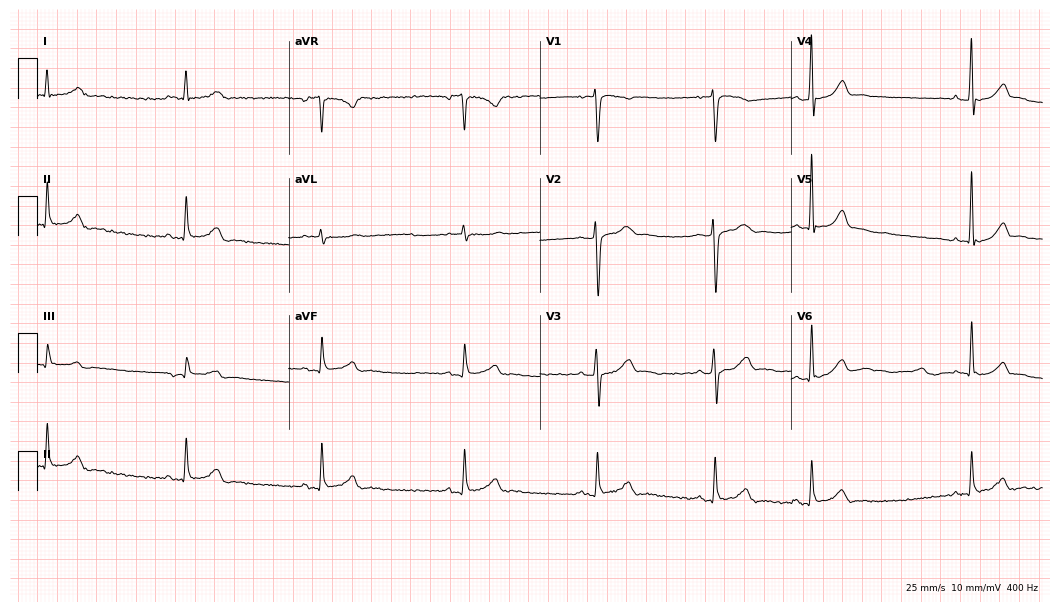
Electrocardiogram, a male patient, 50 years old. Interpretation includes sinus bradycardia (a sinus rate of 50 beats per minute or less).